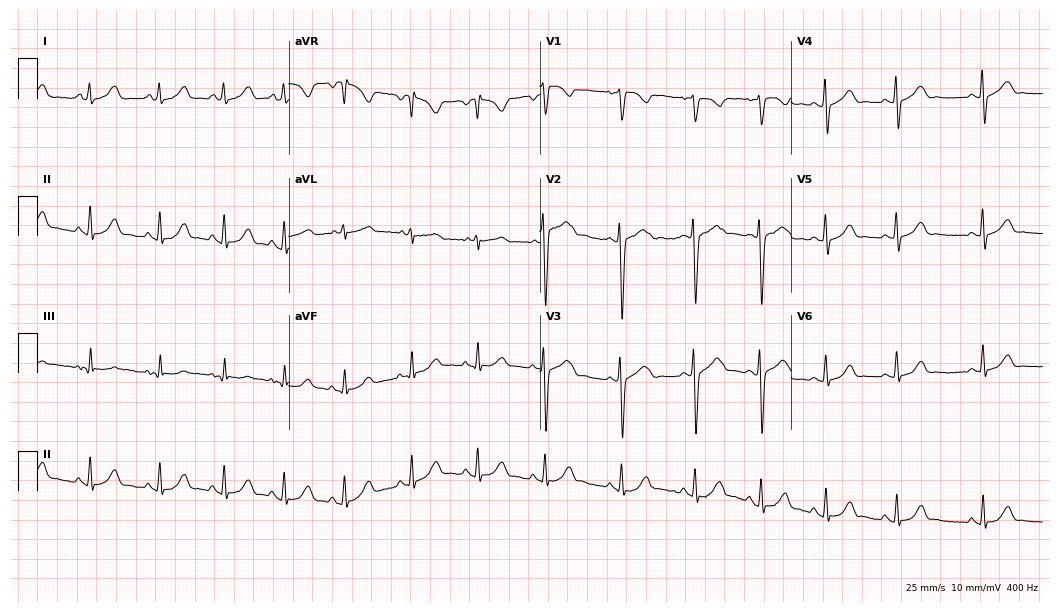
ECG — an 18-year-old female patient. Labelled as a normal ECG.